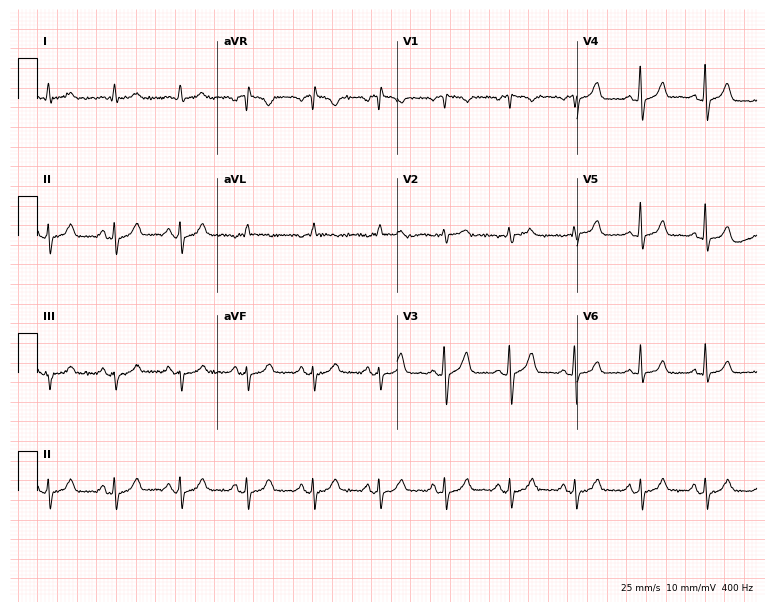
Electrocardiogram, a man, 72 years old. Of the six screened findings (first-degree AV block, right bundle branch block (RBBB), left bundle branch block (LBBB), sinus bradycardia, atrial fibrillation (AF), sinus tachycardia), none is recorded. Other findings, if any, are not listed.